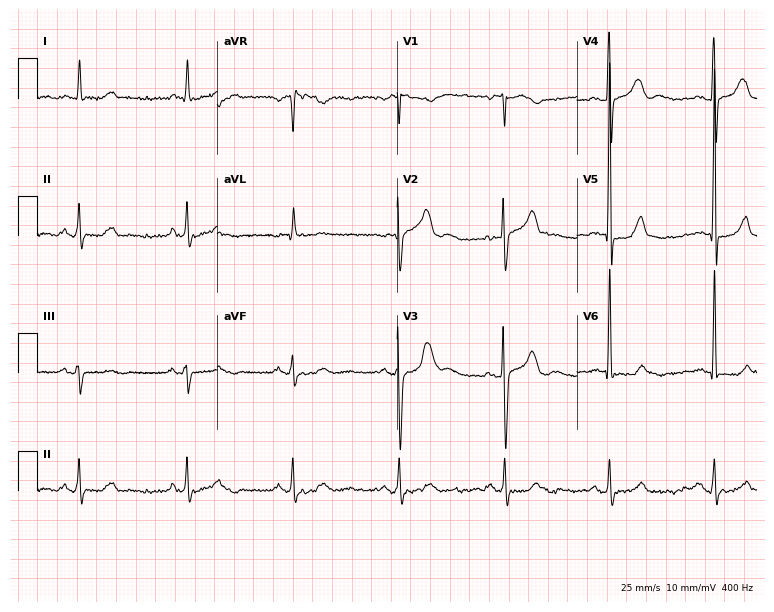
Standard 12-lead ECG recorded from a man, 82 years old (7.3-second recording at 400 Hz). Read as a normal ECG.